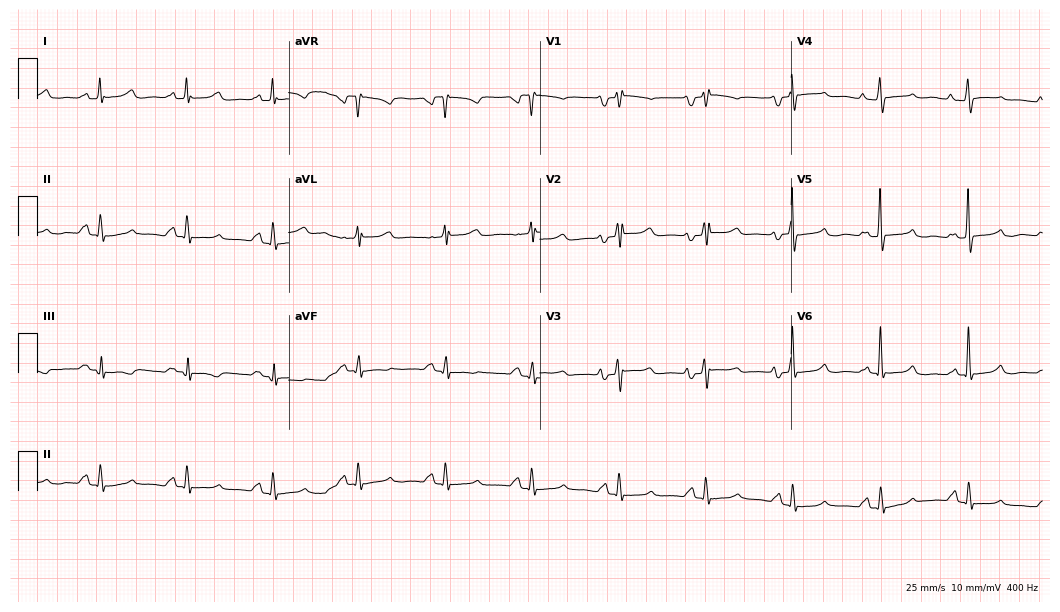
ECG (10.2-second recording at 400 Hz) — a 48-year-old female. Screened for six findings — first-degree AV block, right bundle branch block (RBBB), left bundle branch block (LBBB), sinus bradycardia, atrial fibrillation (AF), sinus tachycardia — none is recorded. Findings outside these six are not listed.